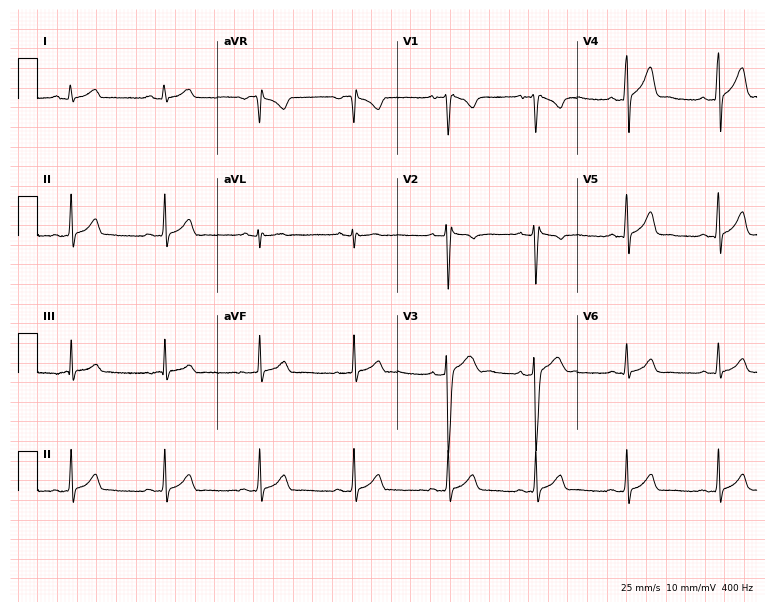
ECG (7.3-second recording at 400 Hz) — a 22-year-old man. Screened for six findings — first-degree AV block, right bundle branch block, left bundle branch block, sinus bradycardia, atrial fibrillation, sinus tachycardia — none is recorded.